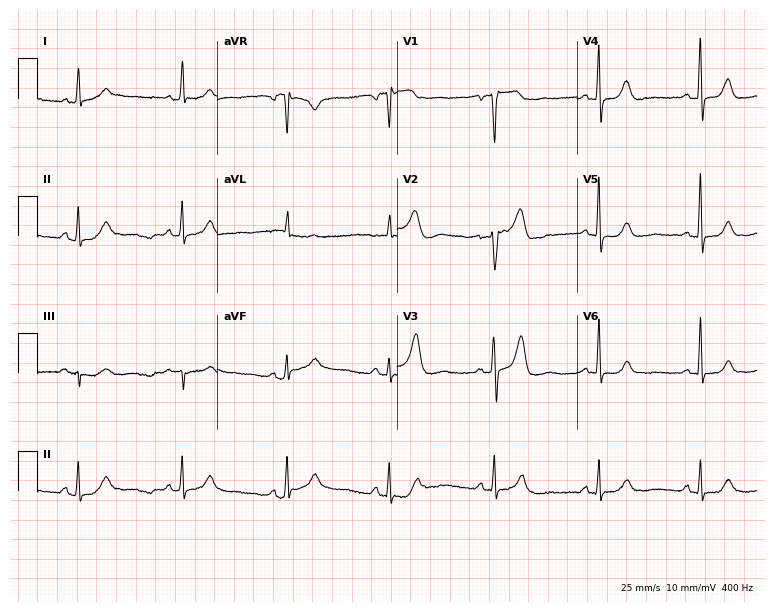
ECG — a 54-year-old female. Labelled as a normal ECG.